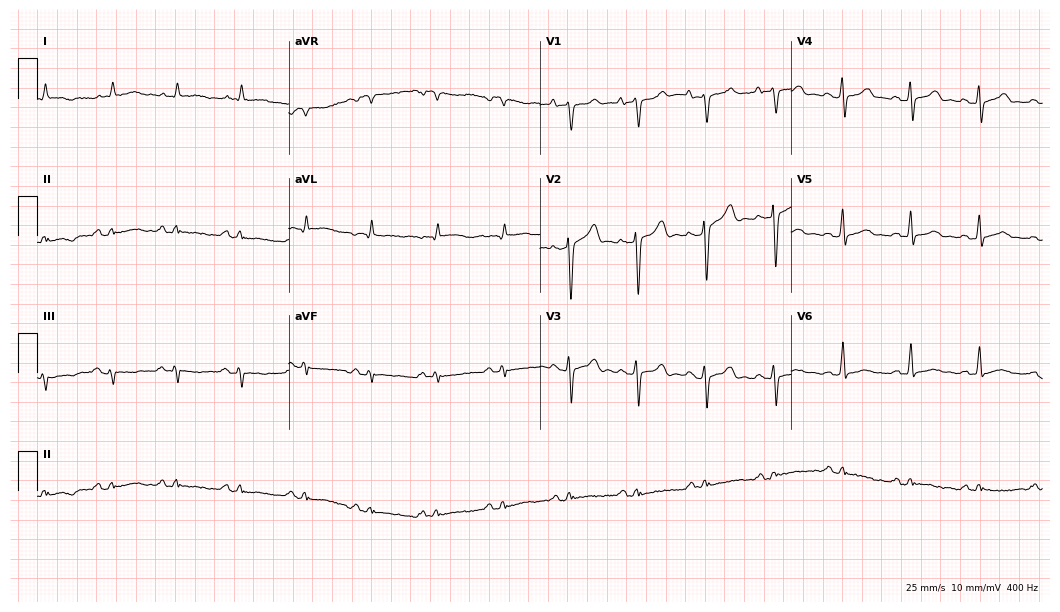
Resting 12-lead electrocardiogram. Patient: a male, 45 years old. None of these six findings is recorded: first-degree AV block, right bundle branch block, left bundle branch block, sinus bradycardia, atrial fibrillation, sinus tachycardia. Other findings, if any, are not listed.